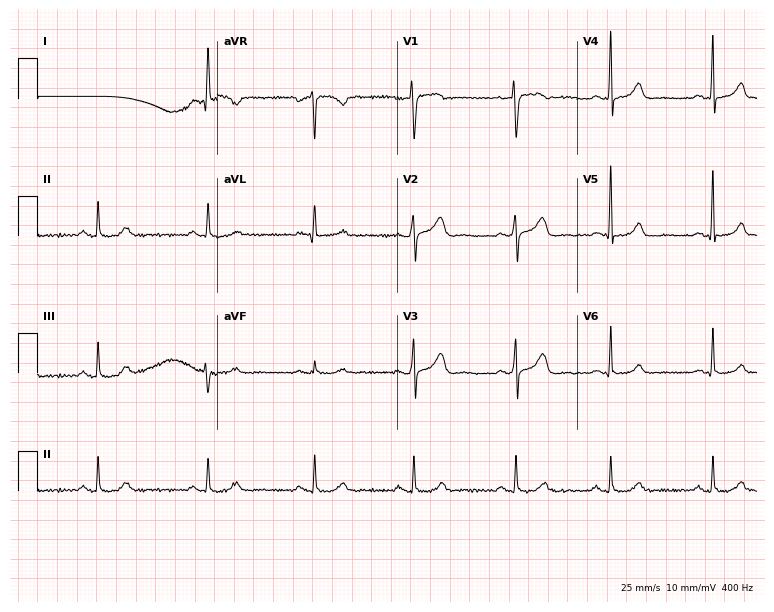
Resting 12-lead electrocardiogram (7.3-second recording at 400 Hz). Patient: a female, 53 years old. Read as a normal ECG.